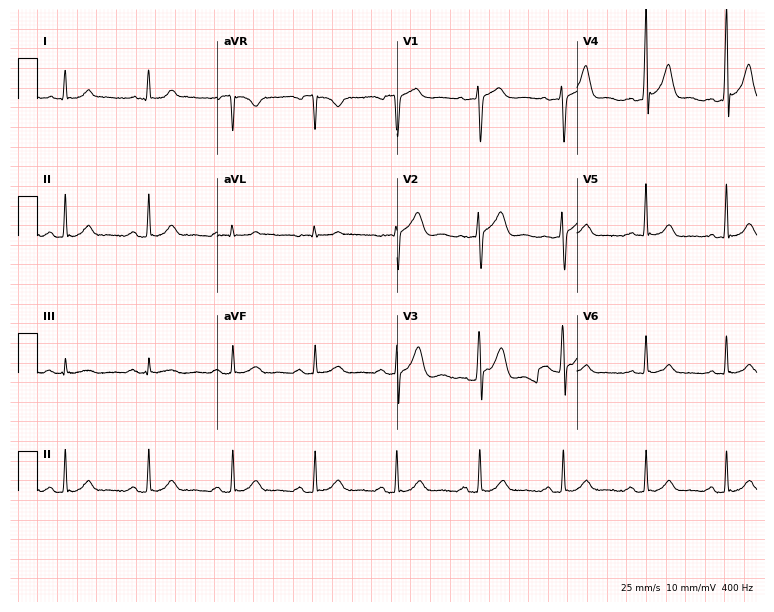
Standard 12-lead ECG recorded from a 52-year-old man. Read as a normal ECG.